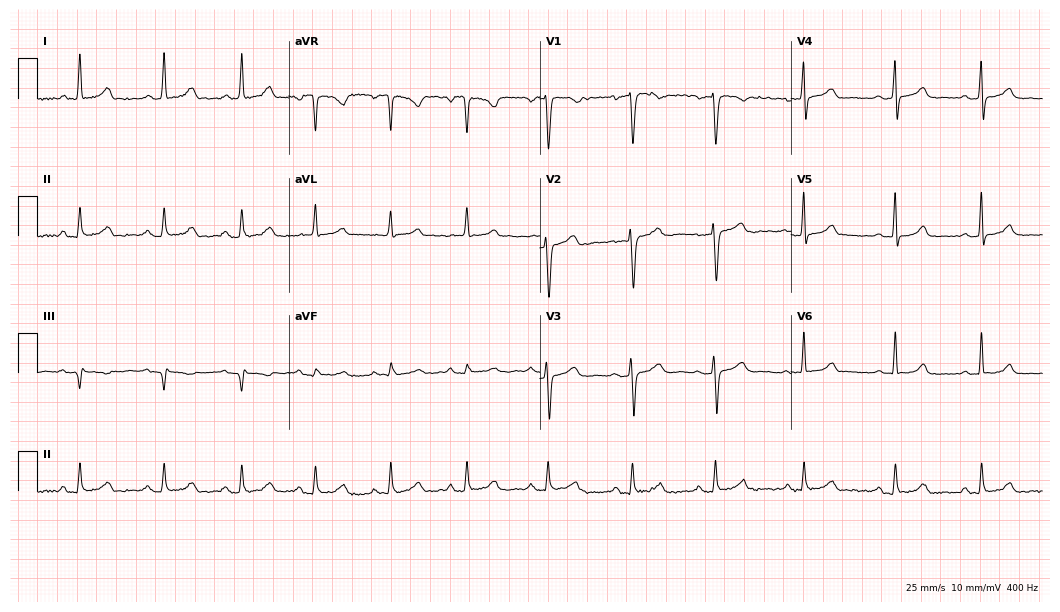
12-lead ECG from a female, 45 years old (10.2-second recording at 400 Hz). Recorded interpretation: within normal limits.